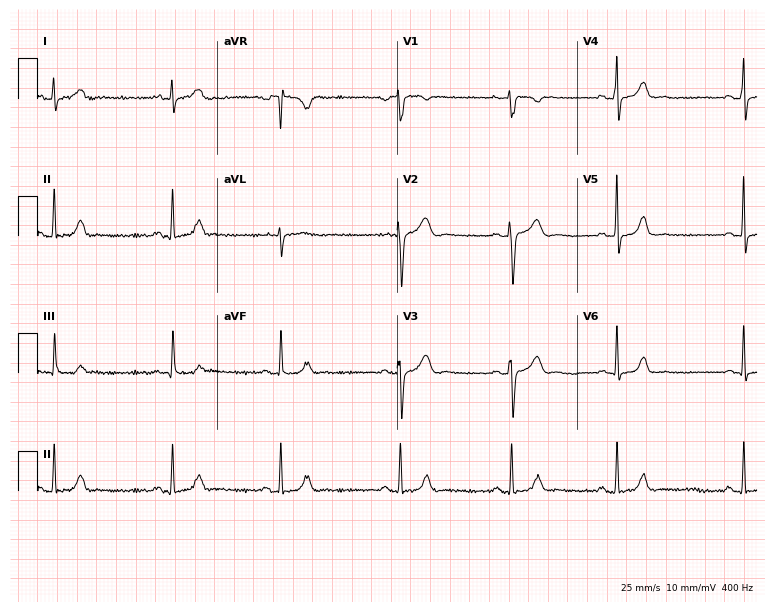
12-lead ECG from a 33-year-old female. Recorded interpretation: within normal limits.